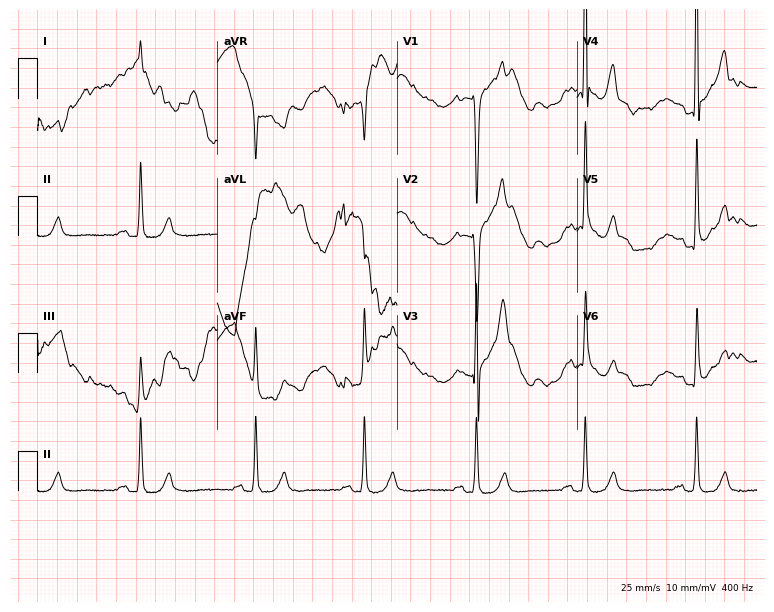
12-lead ECG (7.3-second recording at 400 Hz) from a 64-year-old man. Screened for six findings — first-degree AV block, right bundle branch block, left bundle branch block, sinus bradycardia, atrial fibrillation, sinus tachycardia — none is recorded.